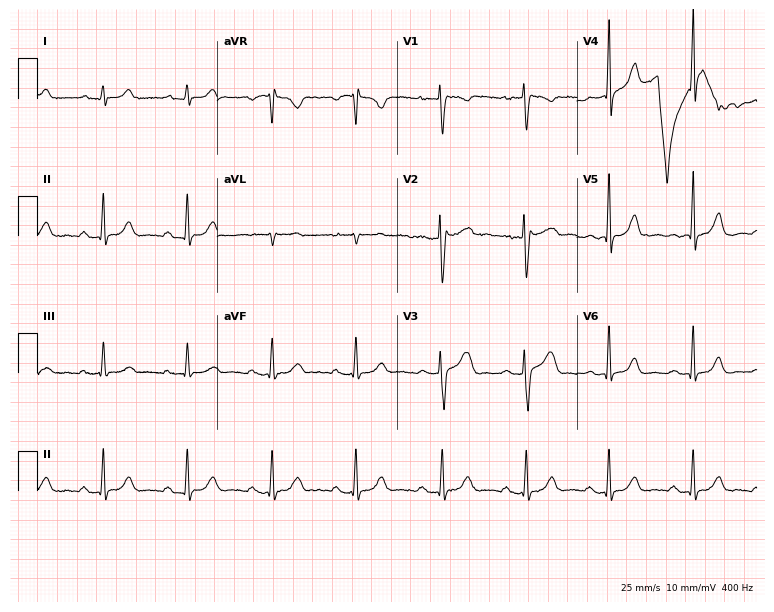
Standard 12-lead ECG recorded from a woman, 33 years old. Read as a normal ECG.